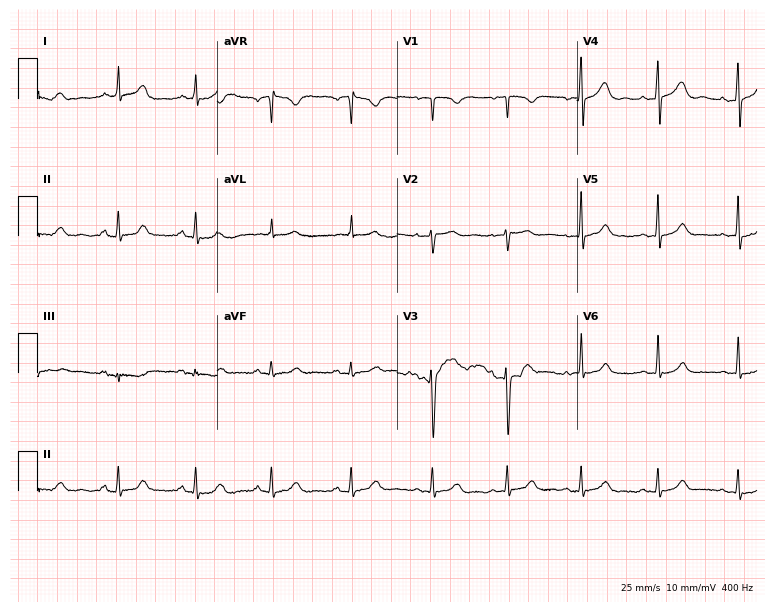
ECG (7.3-second recording at 400 Hz) — a 33-year-old female patient. Labelled as a normal ECG.